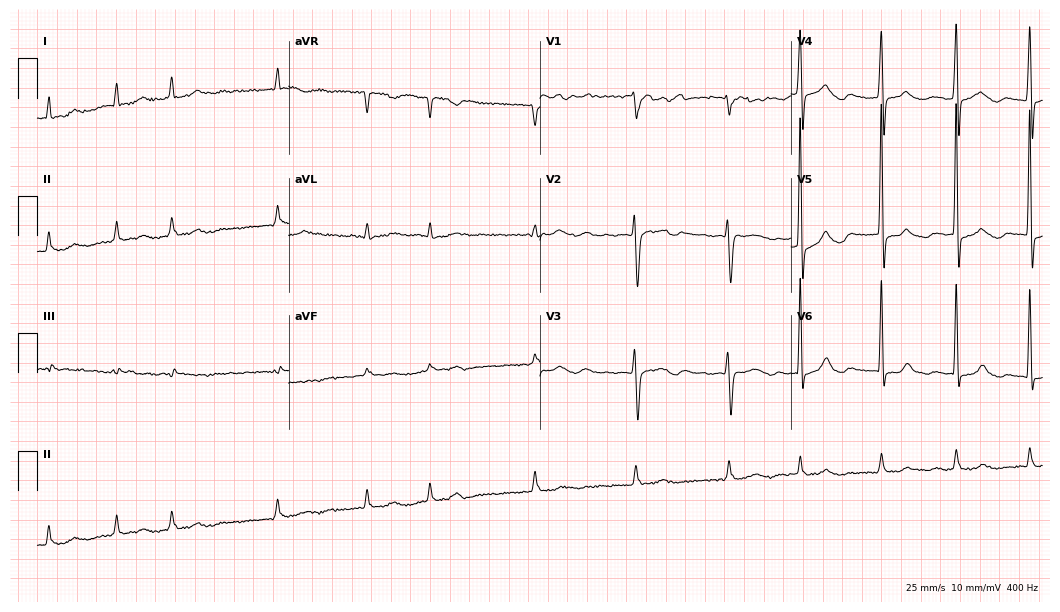
12-lead ECG (10.2-second recording at 400 Hz) from a female, 80 years old. Screened for six findings — first-degree AV block, right bundle branch block, left bundle branch block, sinus bradycardia, atrial fibrillation, sinus tachycardia — none is recorded. Only these six findings were labelled.